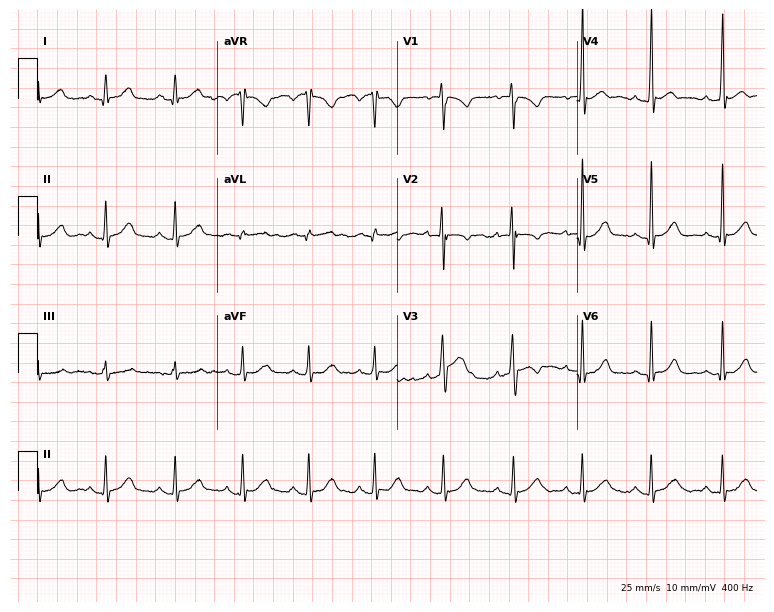
Electrocardiogram (7.3-second recording at 400 Hz), a 25-year-old man. Overall reading on record: normal ECG.